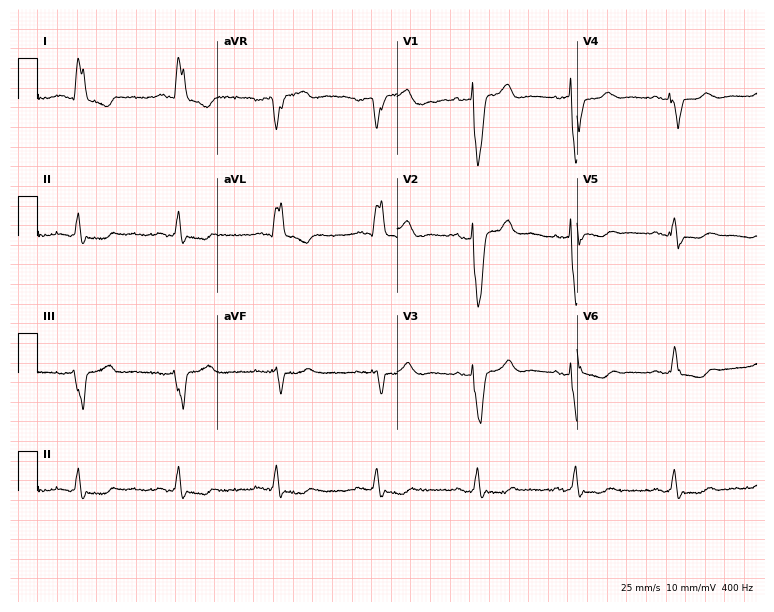
Resting 12-lead electrocardiogram (7.3-second recording at 400 Hz). Patient: a 76-year-old woman. The tracing shows left bundle branch block.